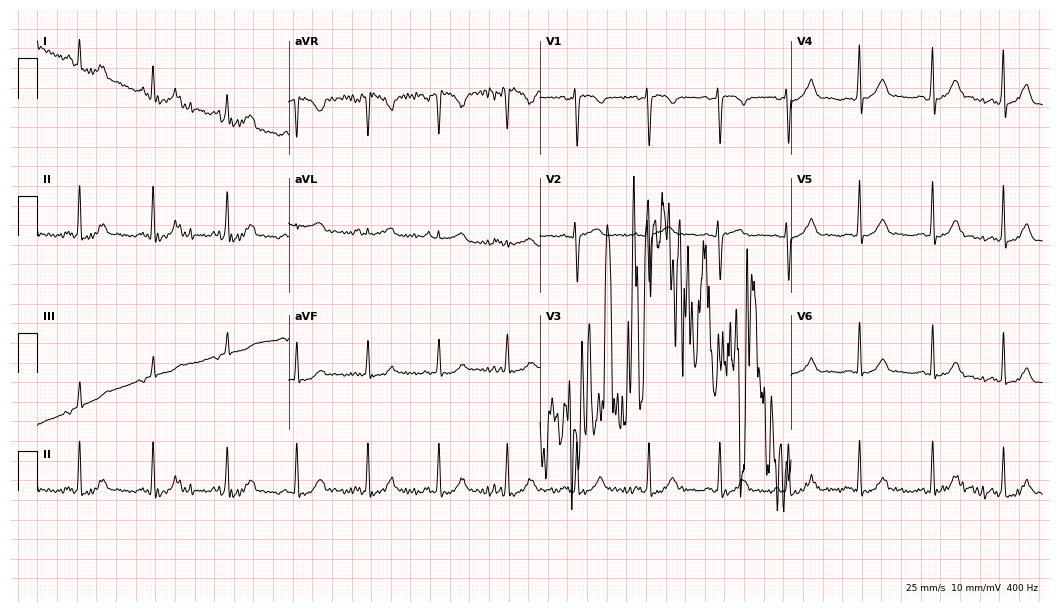
12-lead ECG from a woman, 24 years old (10.2-second recording at 400 Hz). No first-degree AV block, right bundle branch block (RBBB), left bundle branch block (LBBB), sinus bradycardia, atrial fibrillation (AF) or sinus tachycardia recorded for this tracing.